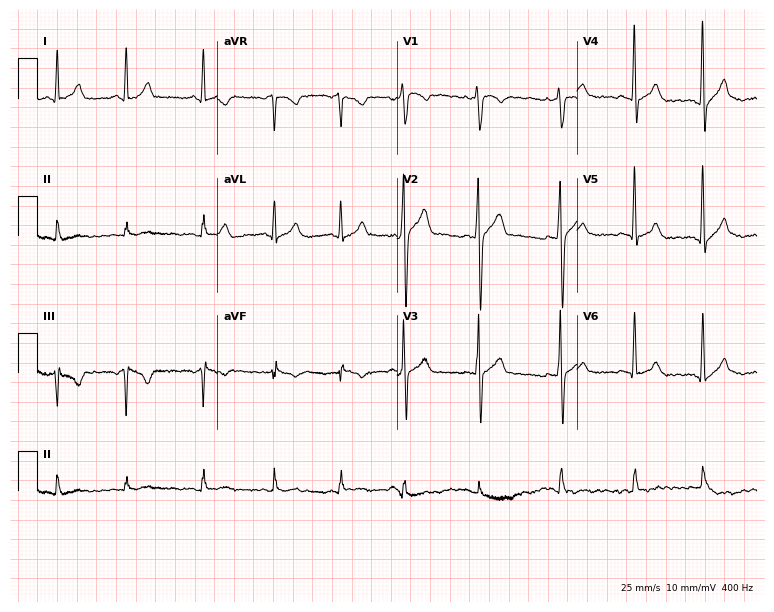
Standard 12-lead ECG recorded from a 27-year-old male patient. None of these six findings is recorded: first-degree AV block, right bundle branch block, left bundle branch block, sinus bradycardia, atrial fibrillation, sinus tachycardia. Only these six findings were labelled.